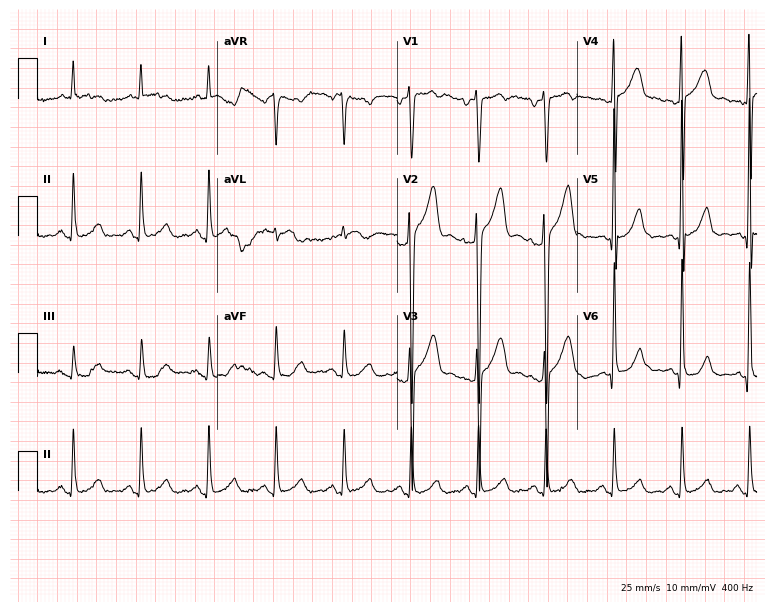
Resting 12-lead electrocardiogram. Patient: a male, 34 years old. Read as a normal ECG.